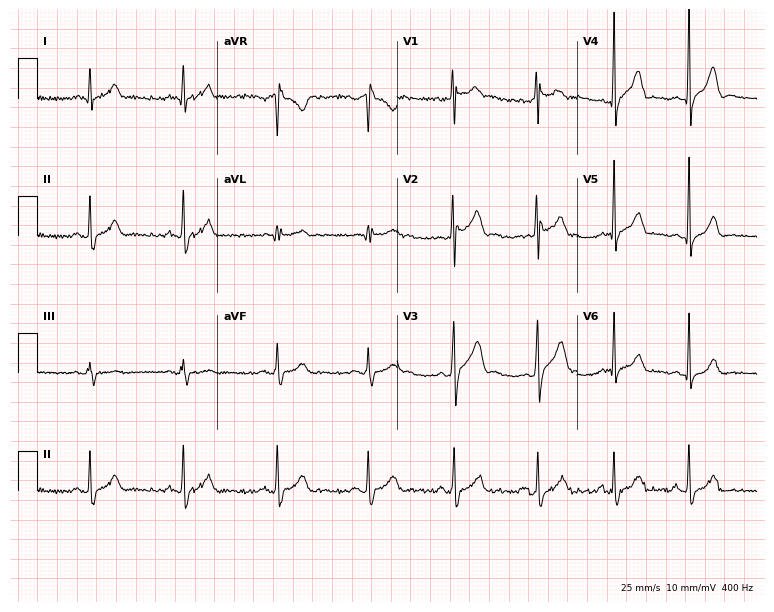
Electrocardiogram, a male, 25 years old. Overall reading on record: normal ECG.